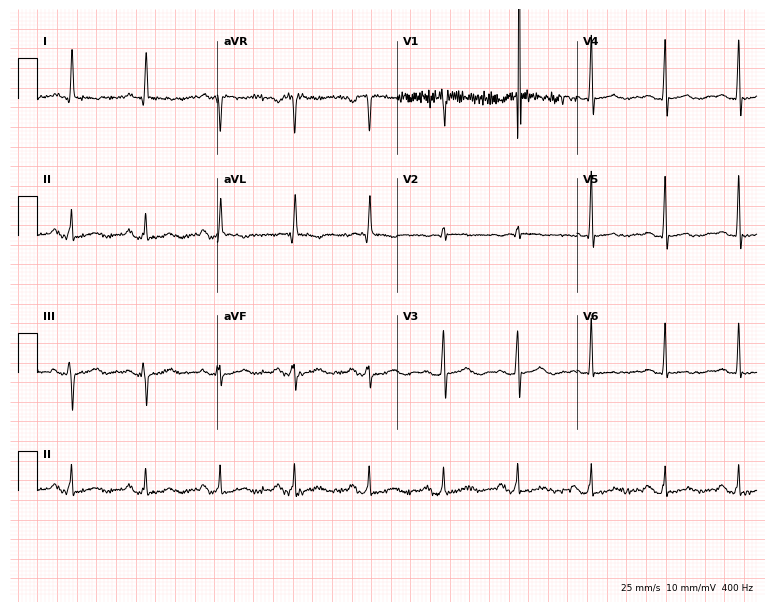
12-lead ECG from a 30-year-old woman. No first-degree AV block, right bundle branch block (RBBB), left bundle branch block (LBBB), sinus bradycardia, atrial fibrillation (AF) or sinus tachycardia recorded for this tracing.